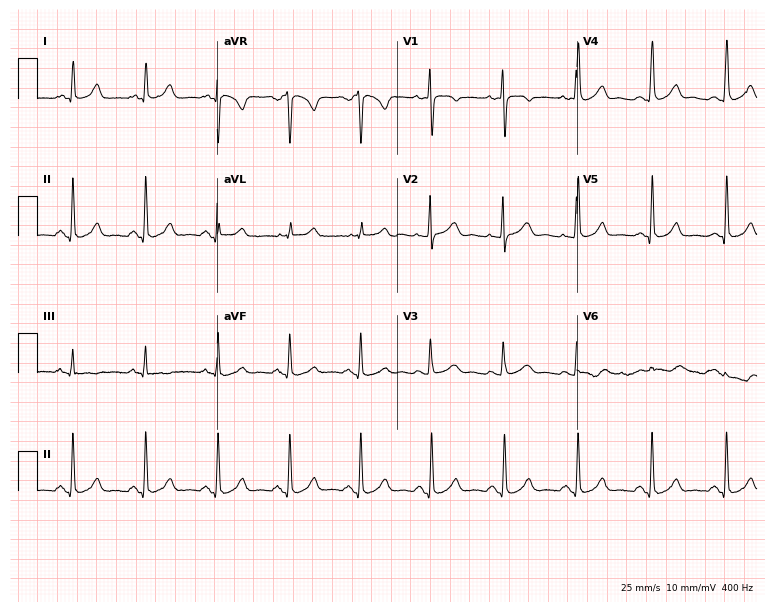
ECG (7.3-second recording at 400 Hz) — a female, 37 years old. Screened for six findings — first-degree AV block, right bundle branch block, left bundle branch block, sinus bradycardia, atrial fibrillation, sinus tachycardia — none is recorded.